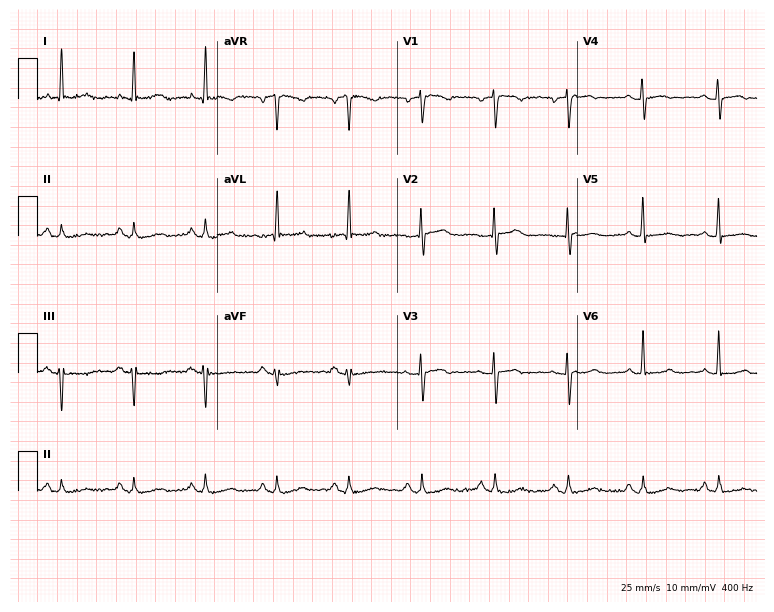
Resting 12-lead electrocardiogram. Patient: a female, 61 years old. None of these six findings is recorded: first-degree AV block, right bundle branch block (RBBB), left bundle branch block (LBBB), sinus bradycardia, atrial fibrillation (AF), sinus tachycardia.